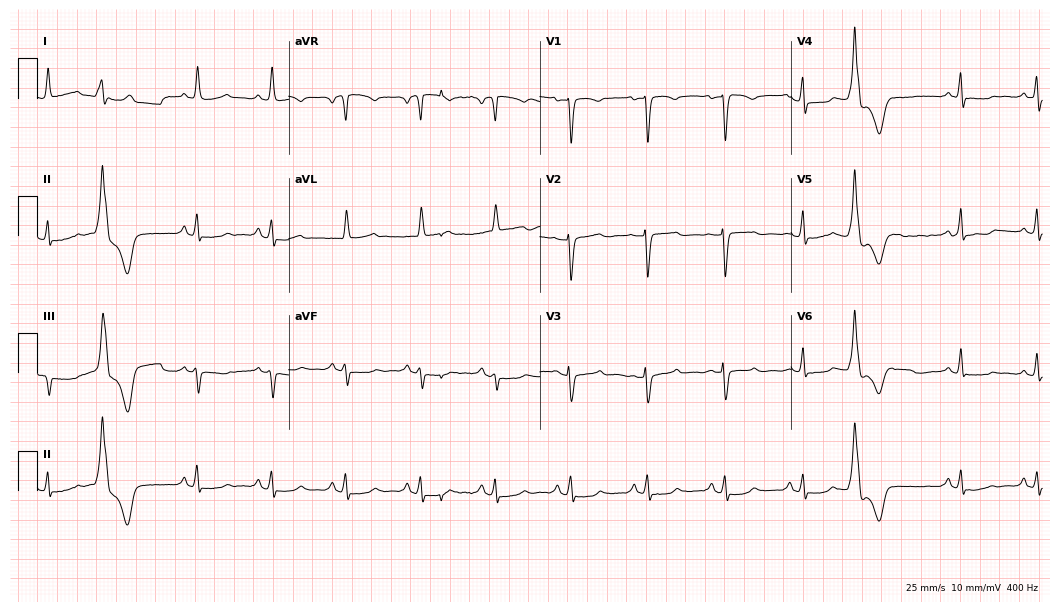
Standard 12-lead ECG recorded from a female patient, 69 years old (10.2-second recording at 400 Hz). None of these six findings is recorded: first-degree AV block, right bundle branch block, left bundle branch block, sinus bradycardia, atrial fibrillation, sinus tachycardia. Other findings, if any, are not listed.